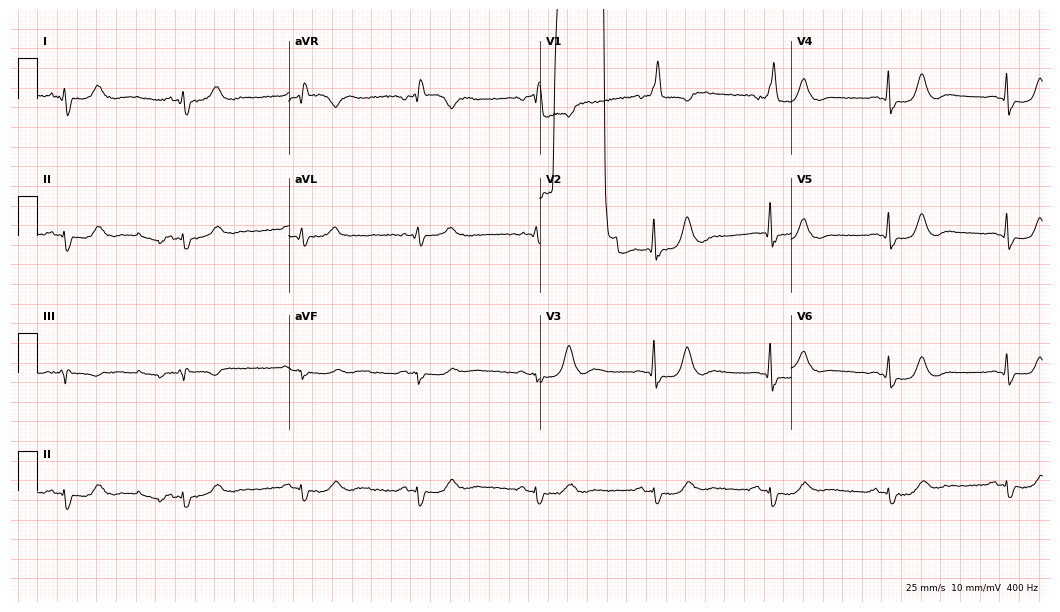
ECG — a 74-year-old female patient. Screened for six findings — first-degree AV block, right bundle branch block, left bundle branch block, sinus bradycardia, atrial fibrillation, sinus tachycardia — none is recorded. Other findings, if any, are not listed.